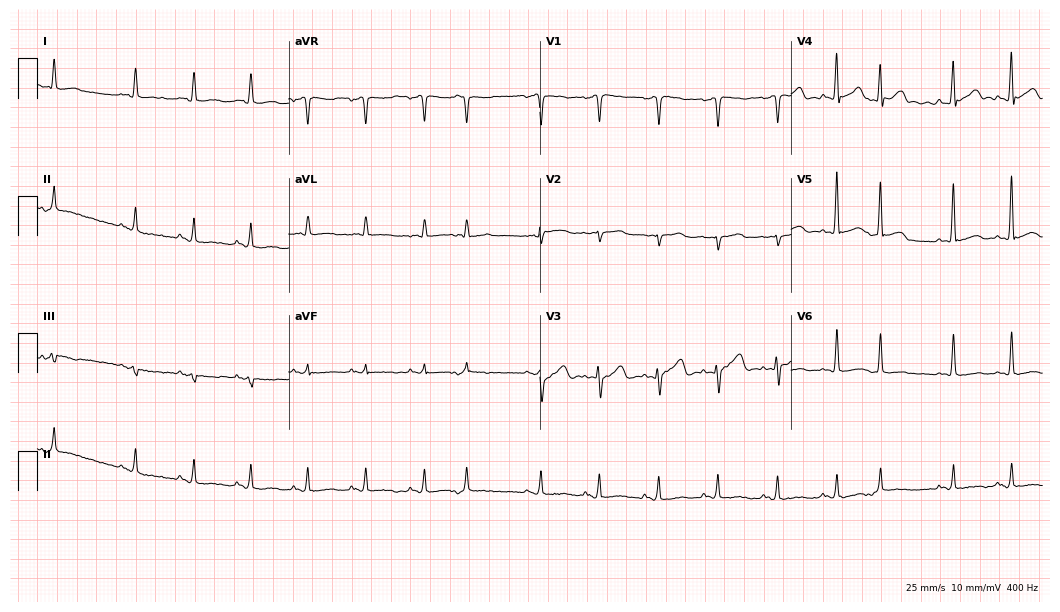
Resting 12-lead electrocardiogram (10.2-second recording at 400 Hz). Patient: a 50-year-old male. None of these six findings is recorded: first-degree AV block, right bundle branch block, left bundle branch block, sinus bradycardia, atrial fibrillation, sinus tachycardia. Findings outside these six are not listed.